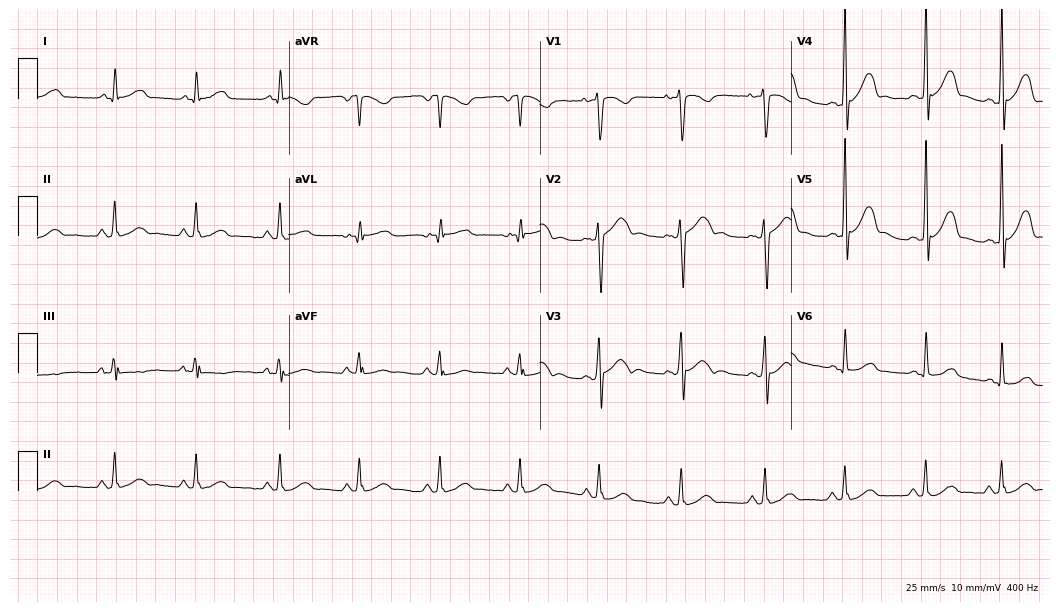
12-lead ECG from a 19-year-old male. Labelled as a normal ECG.